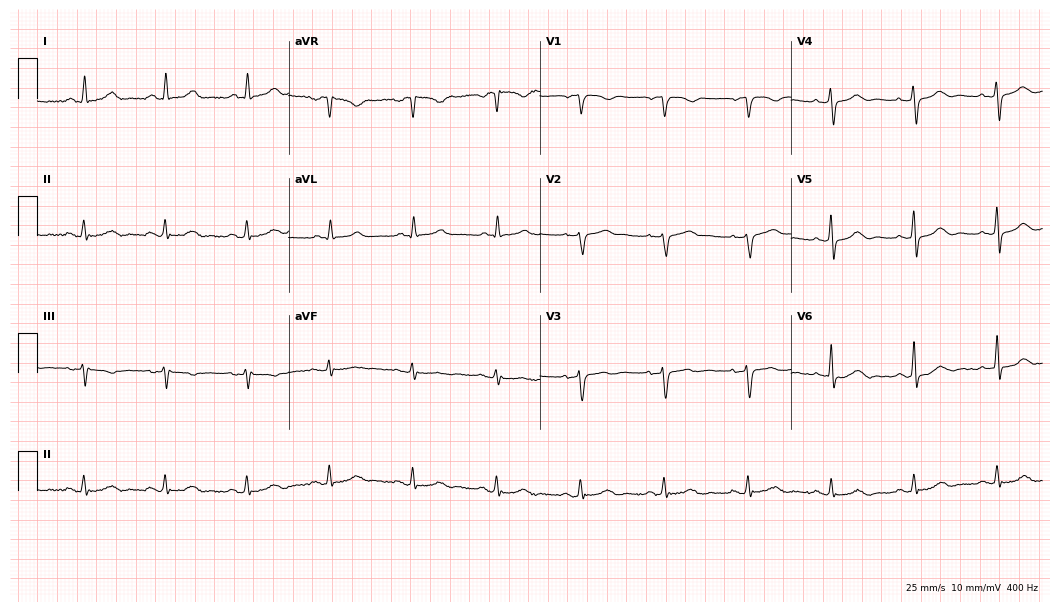
12-lead ECG from a 62-year-old female (10.2-second recording at 400 Hz). Recorded interpretation: within normal limits.